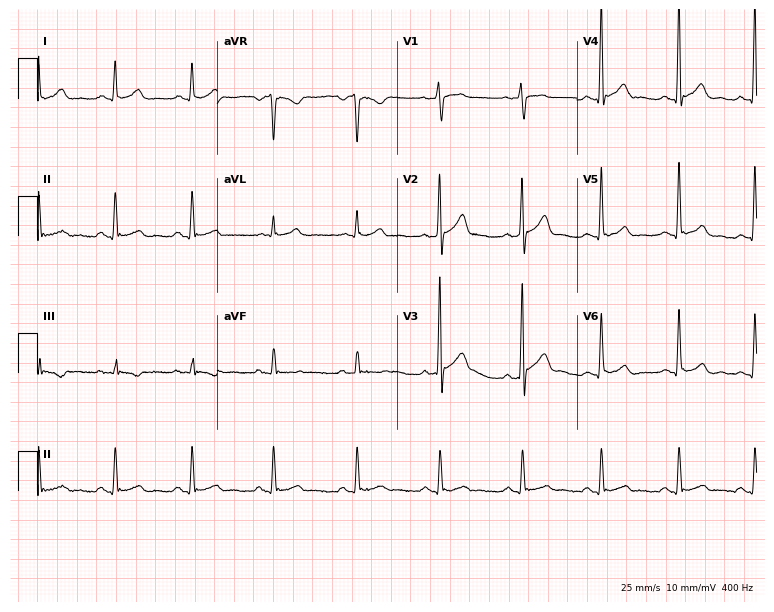
ECG — a 52-year-old man. Screened for six findings — first-degree AV block, right bundle branch block, left bundle branch block, sinus bradycardia, atrial fibrillation, sinus tachycardia — none is recorded.